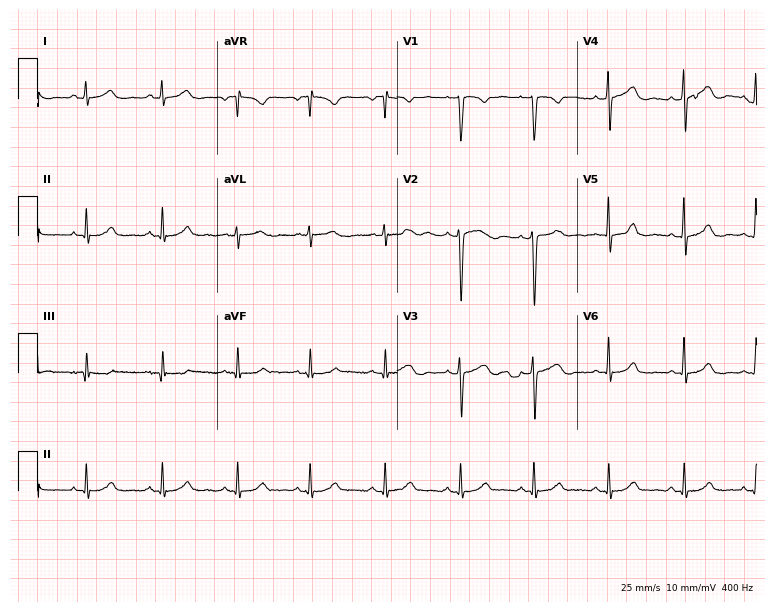
Resting 12-lead electrocardiogram. Patient: a 25-year-old female. None of these six findings is recorded: first-degree AV block, right bundle branch block, left bundle branch block, sinus bradycardia, atrial fibrillation, sinus tachycardia.